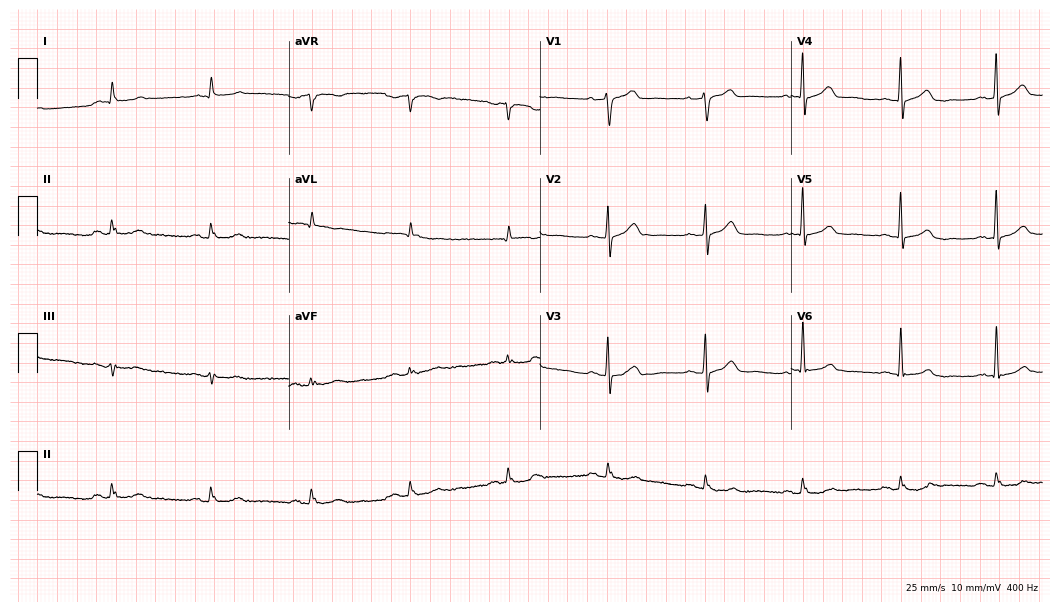
Resting 12-lead electrocardiogram. Patient: a man, 80 years old. None of these six findings is recorded: first-degree AV block, right bundle branch block, left bundle branch block, sinus bradycardia, atrial fibrillation, sinus tachycardia. Other findings, if any, are not listed.